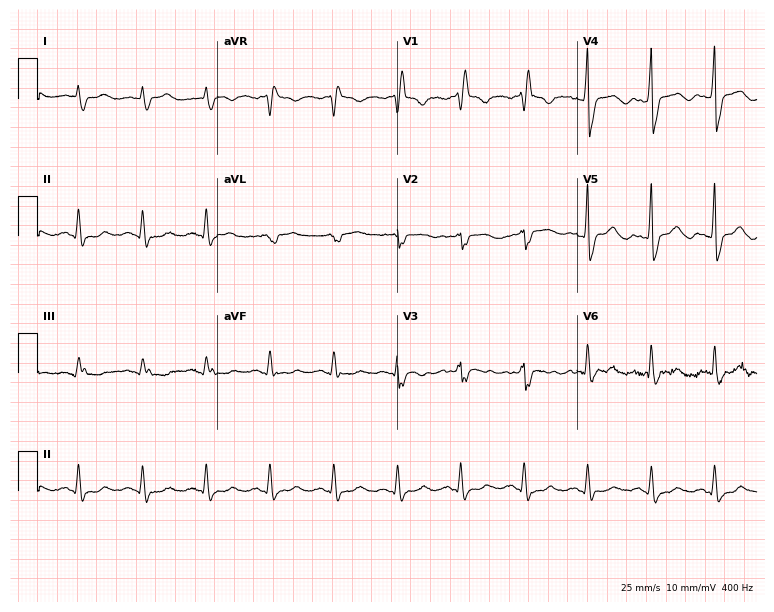
12-lead ECG from a man, 64 years old (7.3-second recording at 400 Hz). Shows right bundle branch block.